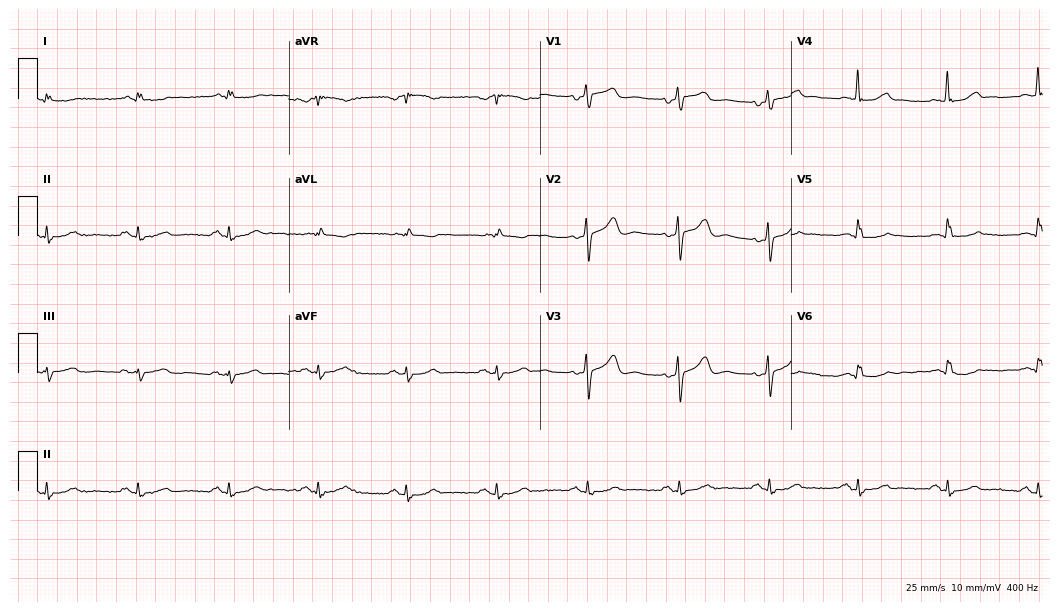
ECG (10.2-second recording at 400 Hz) — a man, 56 years old. Labelled as a normal ECG.